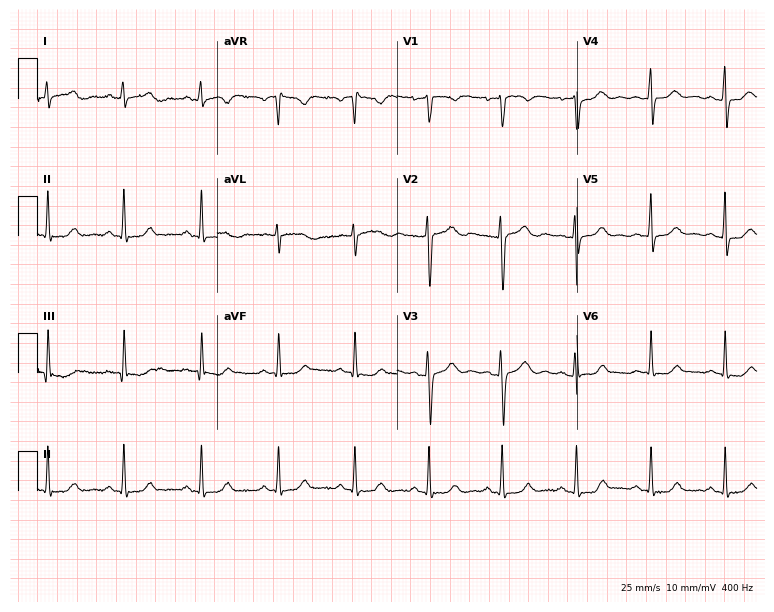
Resting 12-lead electrocardiogram (7.3-second recording at 400 Hz). Patient: a 33-year-old female. Read as a normal ECG.